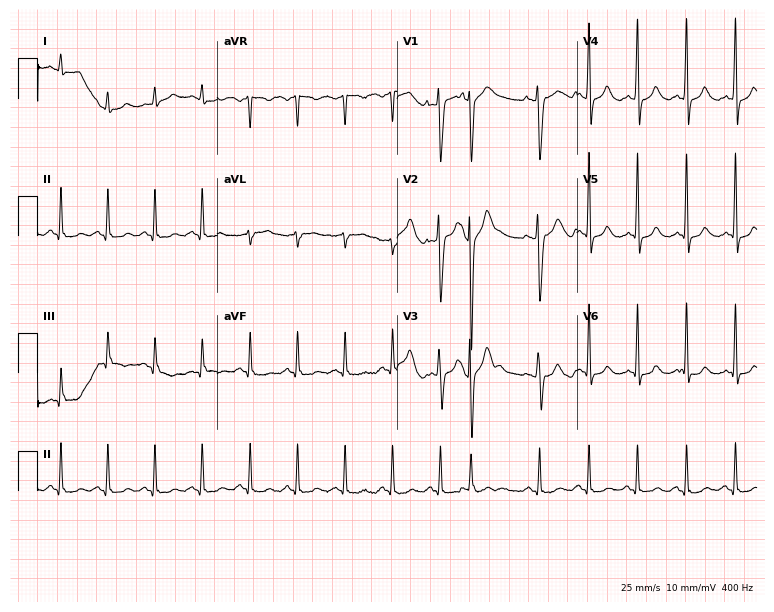
12-lead ECG from a female, 36 years old. Findings include sinus tachycardia (a sinus rate of 100 beats per minute or more).